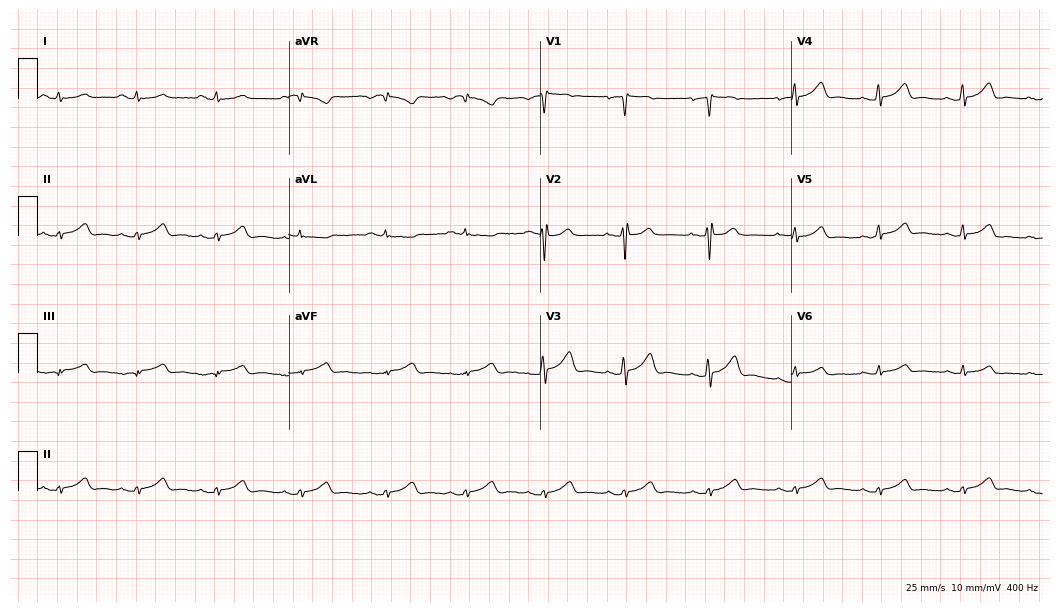
Electrocardiogram (10.2-second recording at 400 Hz), a female, 34 years old. Of the six screened findings (first-degree AV block, right bundle branch block, left bundle branch block, sinus bradycardia, atrial fibrillation, sinus tachycardia), none is recorded. Other findings, if any, are not listed.